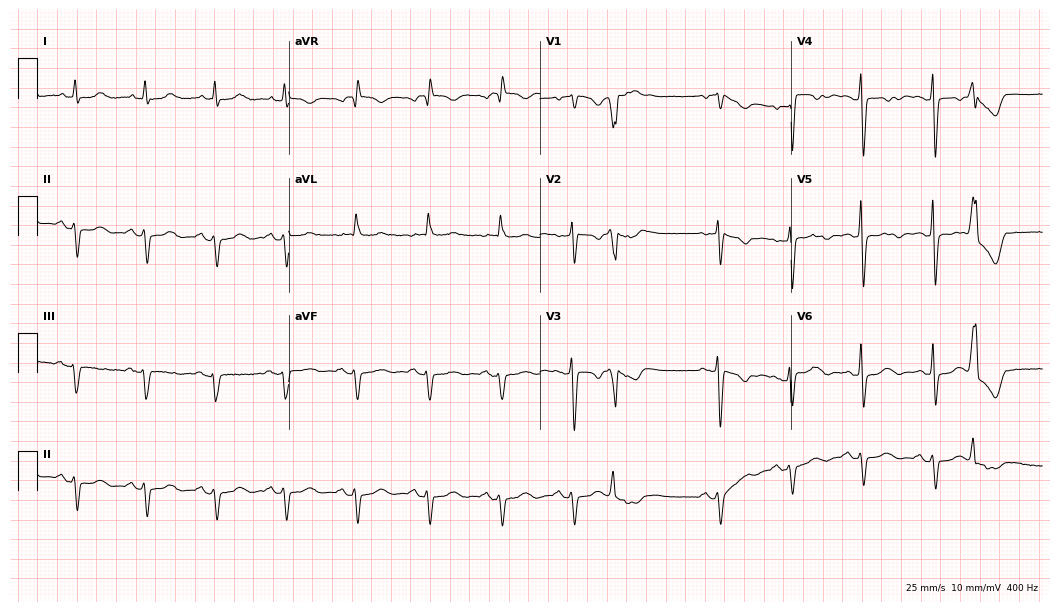
12-lead ECG from a female patient, 74 years old (10.2-second recording at 400 Hz). No first-degree AV block, right bundle branch block, left bundle branch block, sinus bradycardia, atrial fibrillation or sinus tachycardia recorded for this tracing.